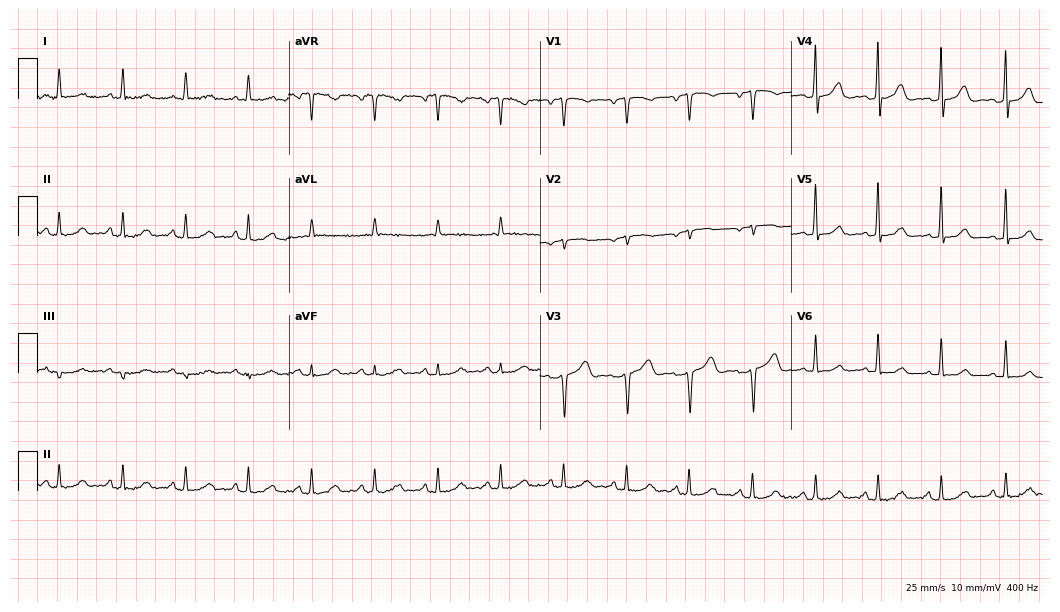
Resting 12-lead electrocardiogram (10.2-second recording at 400 Hz). Patient: a female, 49 years old. None of these six findings is recorded: first-degree AV block, right bundle branch block, left bundle branch block, sinus bradycardia, atrial fibrillation, sinus tachycardia. Only these six findings were labelled.